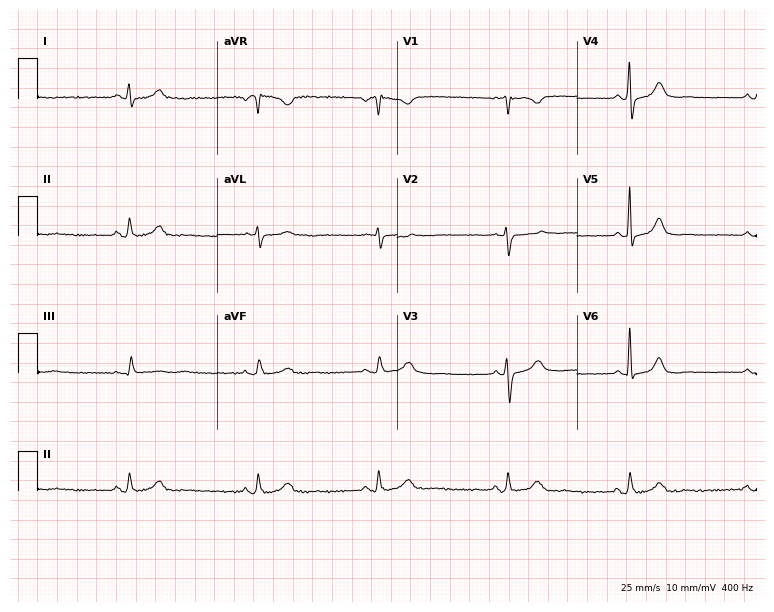
Electrocardiogram (7.3-second recording at 400 Hz), a 49-year-old female. Interpretation includes sinus bradycardia (a sinus rate of 50 beats per minute or less).